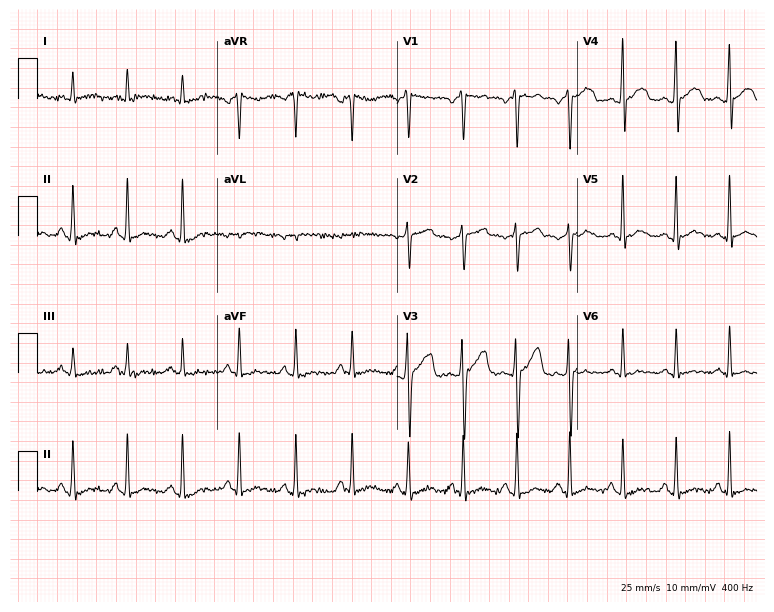
Standard 12-lead ECG recorded from a male, 23 years old (7.3-second recording at 400 Hz). The tracing shows sinus tachycardia (a sinus rate of 100 beats per minute or more).